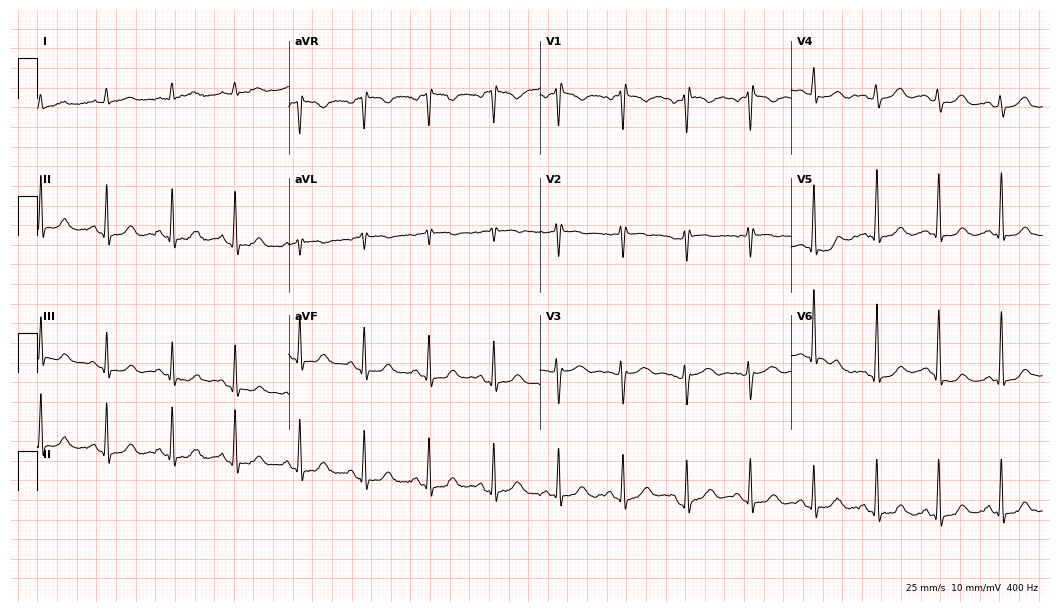
12-lead ECG from a 55-year-old female patient. No first-degree AV block, right bundle branch block, left bundle branch block, sinus bradycardia, atrial fibrillation or sinus tachycardia recorded for this tracing.